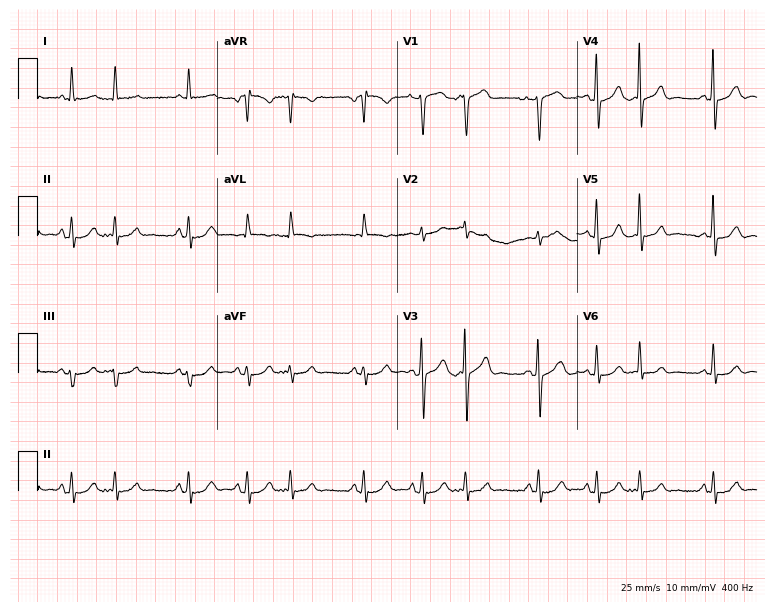
Electrocardiogram (7.3-second recording at 400 Hz), a male, 70 years old. Of the six screened findings (first-degree AV block, right bundle branch block (RBBB), left bundle branch block (LBBB), sinus bradycardia, atrial fibrillation (AF), sinus tachycardia), none is recorded. Other findings, if any, are not listed.